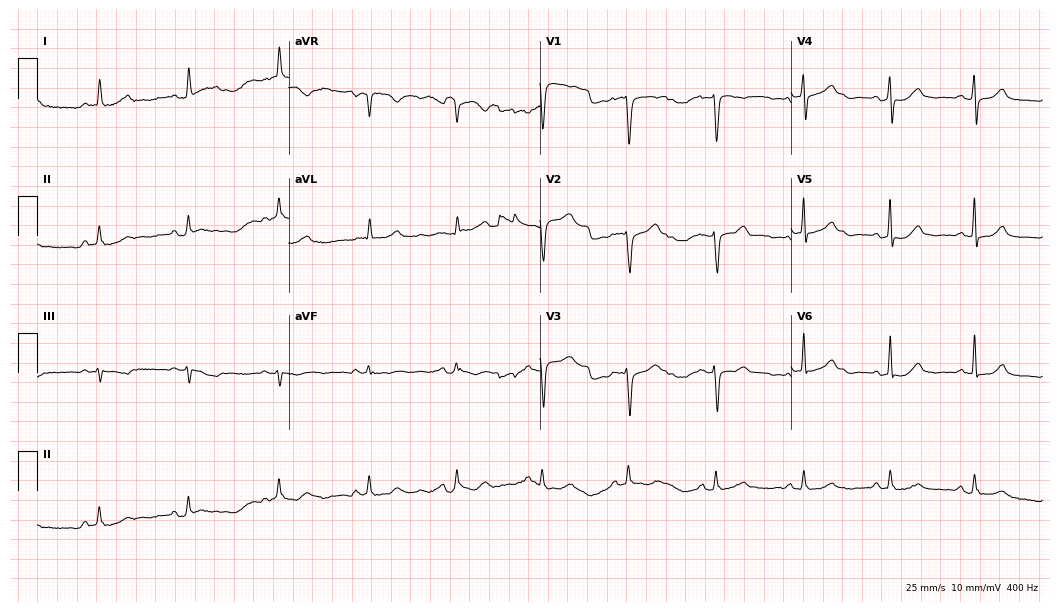
Resting 12-lead electrocardiogram (10.2-second recording at 400 Hz). Patient: a female, 57 years old. Read as a normal ECG.